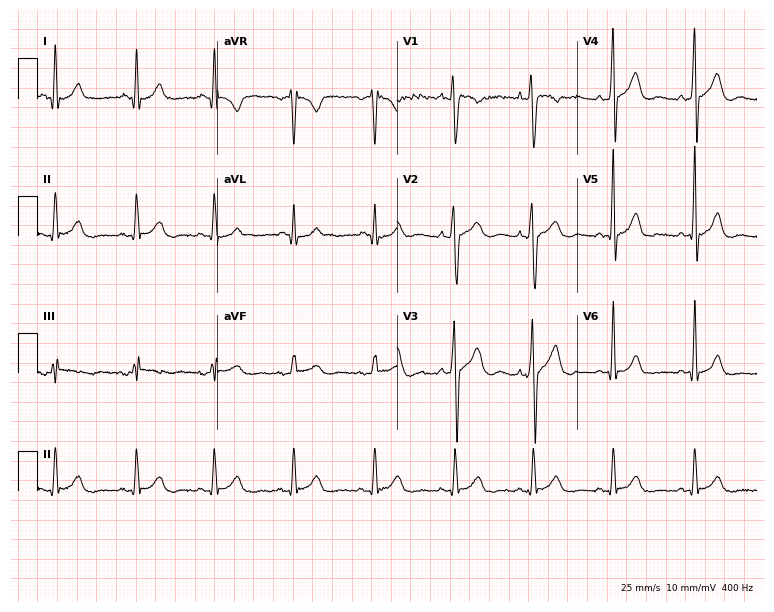
ECG (7.3-second recording at 400 Hz) — a man, 26 years old. Screened for six findings — first-degree AV block, right bundle branch block, left bundle branch block, sinus bradycardia, atrial fibrillation, sinus tachycardia — none is recorded.